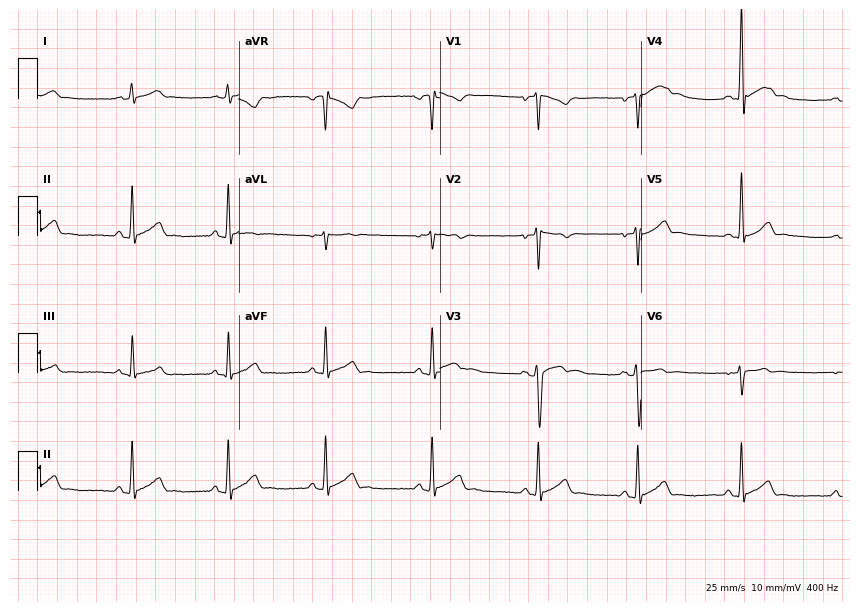
12-lead ECG from a 17-year-old male. No first-degree AV block, right bundle branch block, left bundle branch block, sinus bradycardia, atrial fibrillation or sinus tachycardia recorded for this tracing. Only these six findings were labelled.